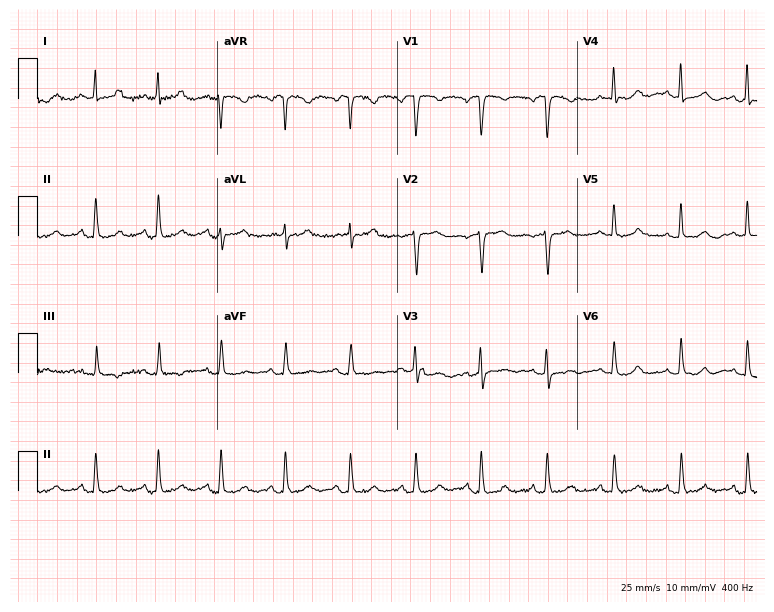
ECG — a male, 74 years old. Labelled as a normal ECG.